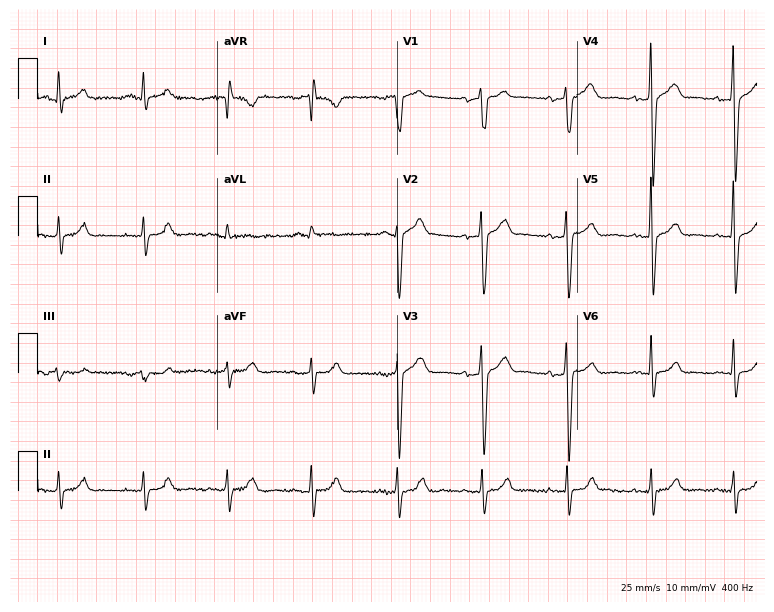
12-lead ECG from a man, 55 years old. Screened for six findings — first-degree AV block, right bundle branch block, left bundle branch block, sinus bradycardia, atrial fibrillation, sinus tachycardia — none is recorded.